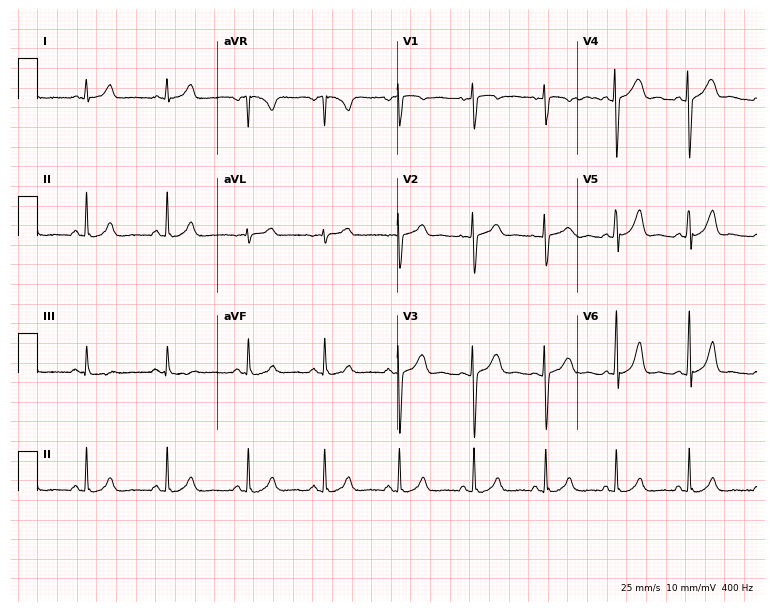
Resting 12-lead electrocardiogram. Patient: a female, 22 years old. Read as a normal ECG.